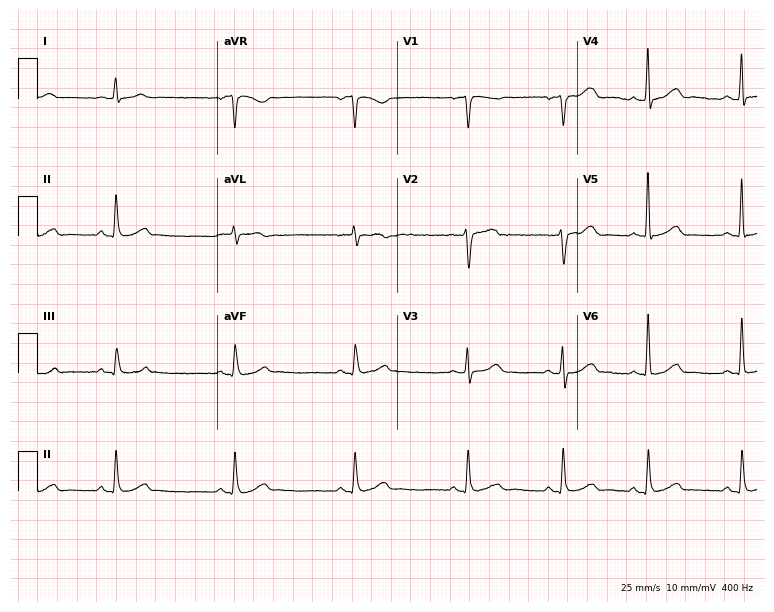
Resting 12-lead electrocardiogram (7.3-second recording at 400 Hz). Patient: a woman, 42 years old. Read as a normal ECG.